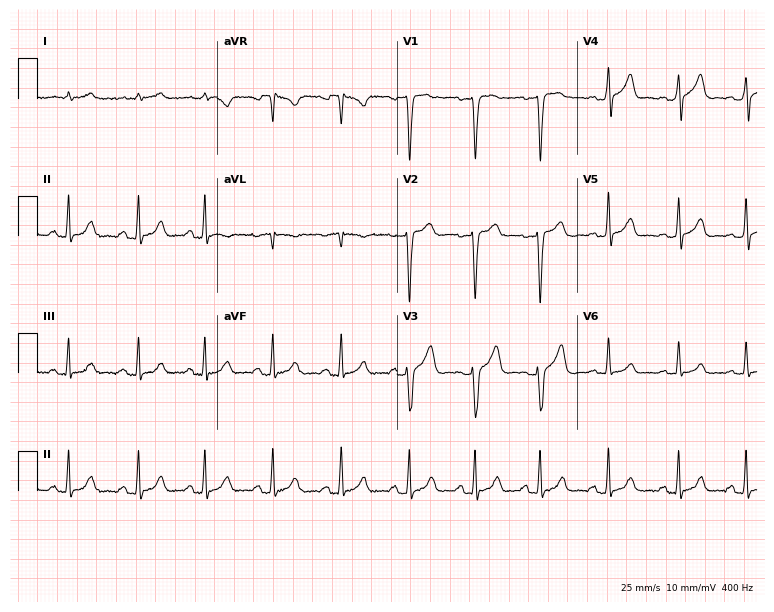
ECG — a male patient, 33 years old. Labelled as a normal ECG.